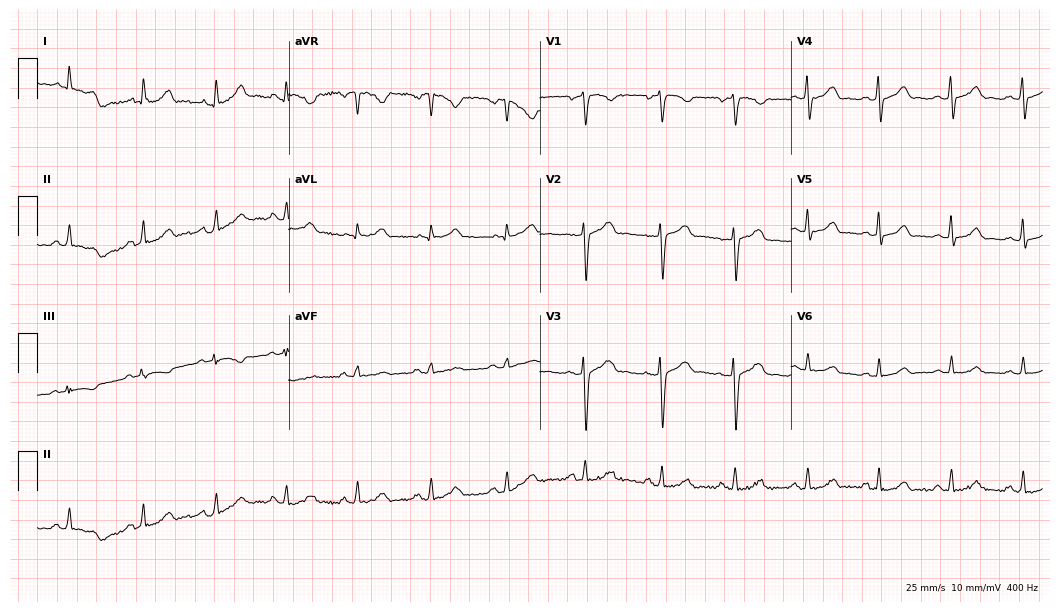
Electrocardiogram (10.2-second recording at 400 Hz), a woman, 29 years old. Of the six screened findings (first-degree AV block, right bundle branch block, left bundle branch block, sinus bradycardia, atrial fibrillation, sinus tachycardia), none is recorded.